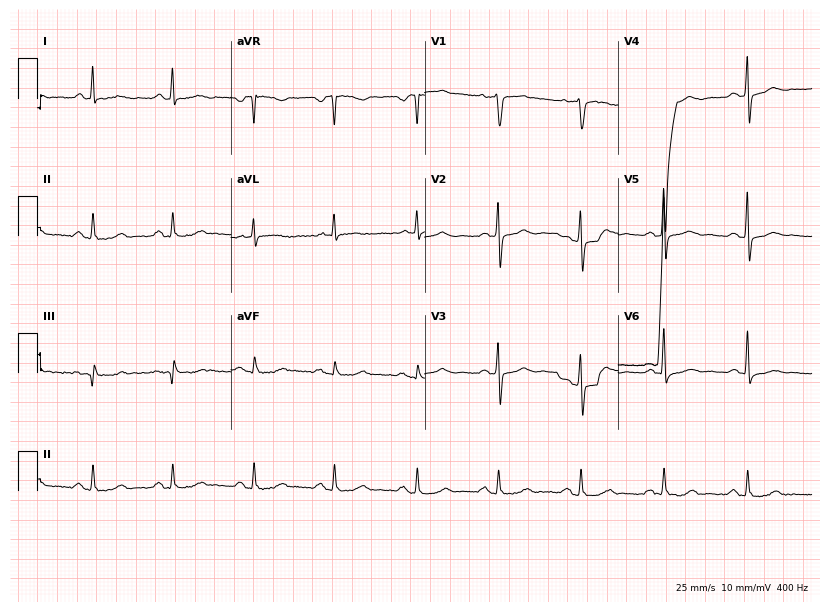
ECG — a 65-year-old man. Screened for six findings — first-degree AV block, right bundle branch block, left bundle branch block, sinus bradycardia, atrial fibrillation, sinus tachycardia — none is recorded. Findings outside these six are not listed.